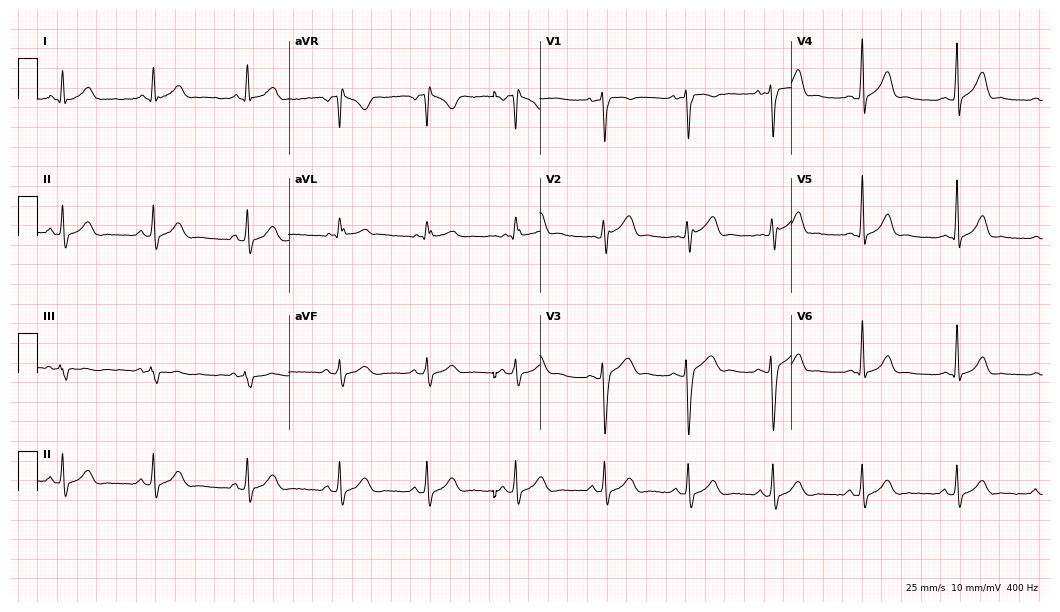
Electrocardiogram (10.2-second recording at 400 Hz), a male, 22 years old. Overall reading on record: normal ECG.